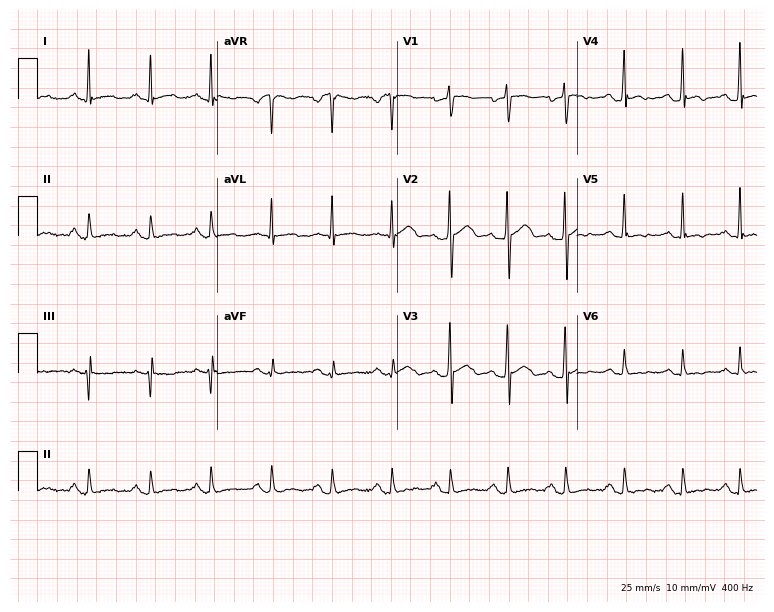
Resting 12-lead electrocardiogram. Patient: a male, 41 years old. Read as a normal ECG.